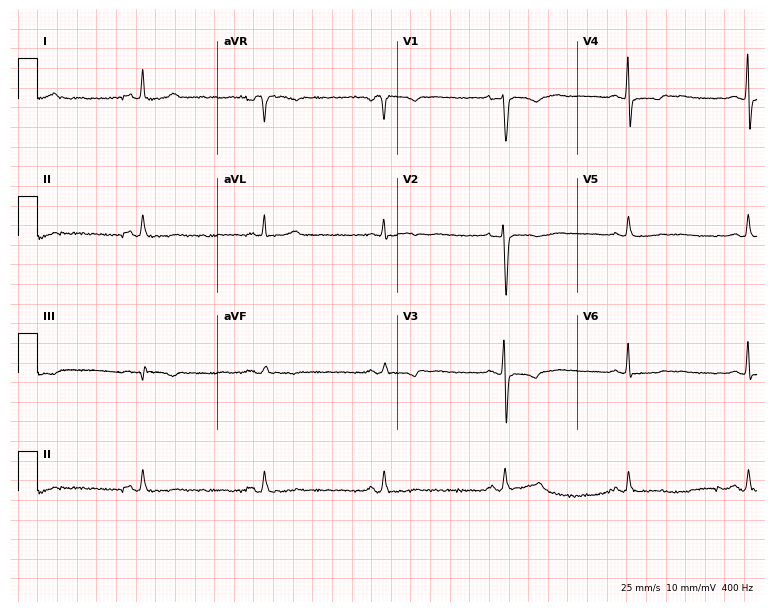
ECG — a 52-year-old female patient. Screened for six findings — first-degree AV block, right bundle branch block, left bundle branch block, sinus bradycardia, atrial fibrillation, sinus tachycardia — none is recorded. Other findings, if any, are not listed.